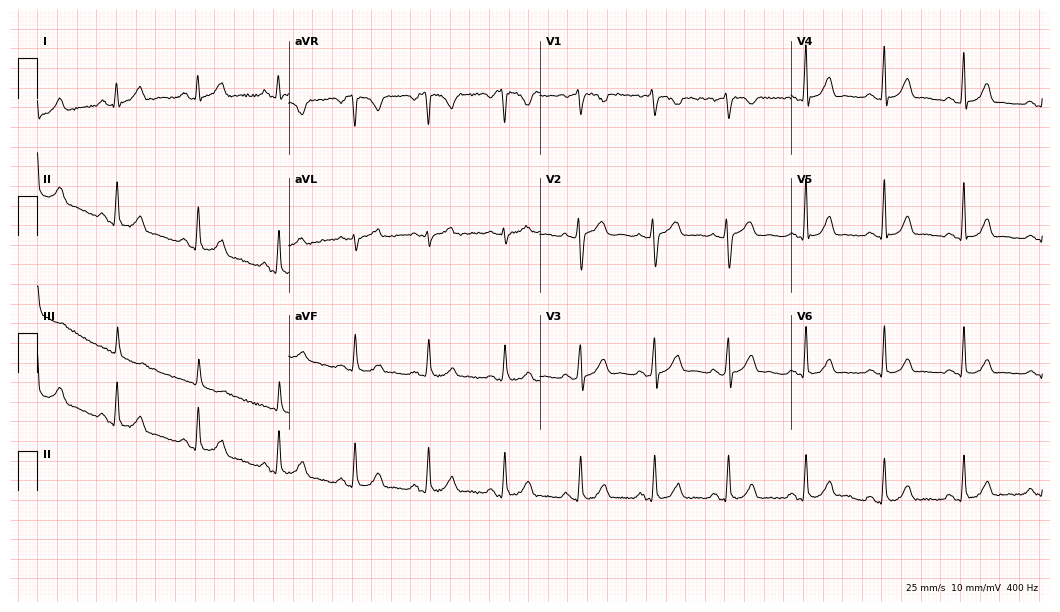
Resting 12-lead electrocardiogram (10.2-second recording at 400 Hz). Patient: an 18-year-old woman. Read as a normal ECG.